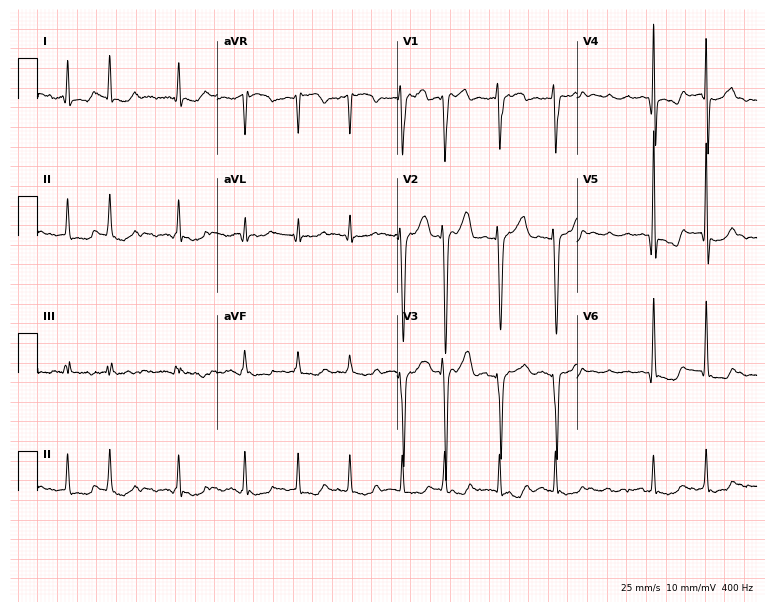
ECG — a male, 61 years old. Findings include atrial fibrillation.